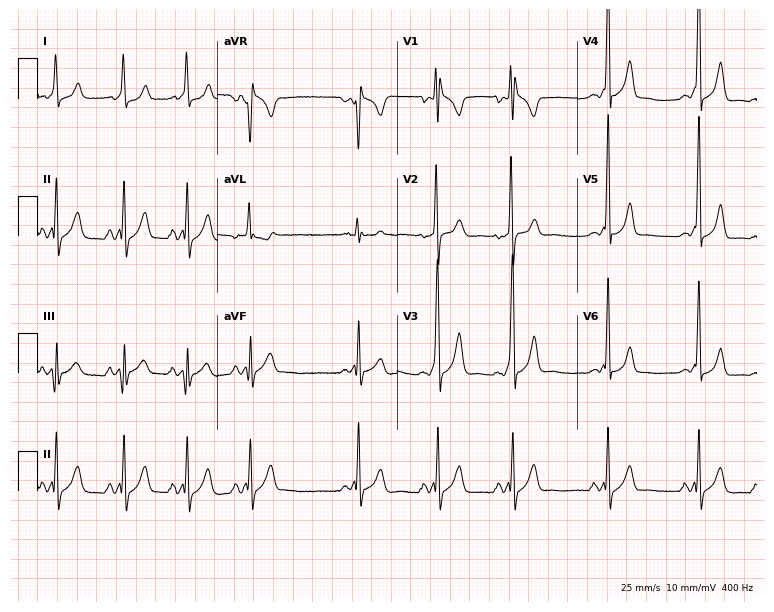
Resting 12-lead electrocardiogram (7.3-second recording at 400 Hz). Patient: a 17-year-old male. None of these six findings is recorded: first-degree AV block, right bundle branch block, left bundle branch block, sinus bradycardia, atrial fibrillation, sinus tachycardia.